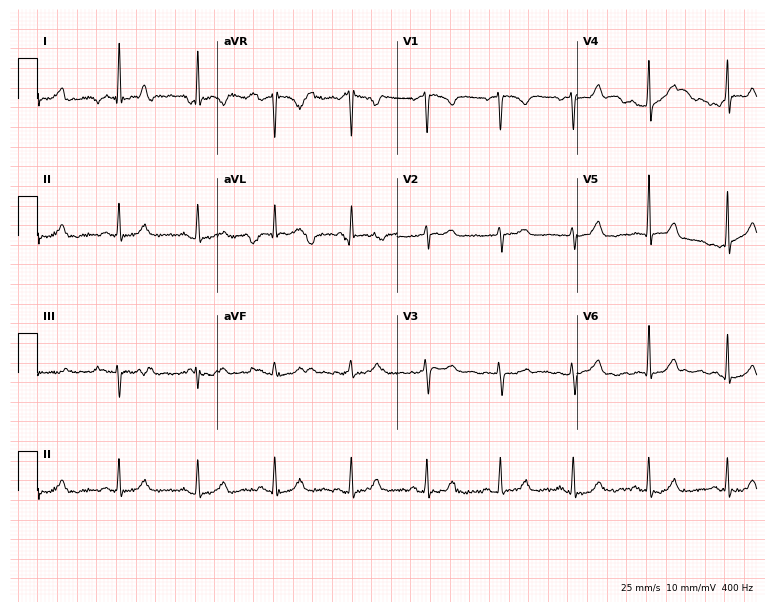
Resting 12-lead electrocardiogram. Patient: a 44-year-old woman. None of these six findings is recorded: first-degree AV block, right bundle branch block, left bundle branch block, sinus bradycardia, atrial fibrillation, sinus tachycardia.